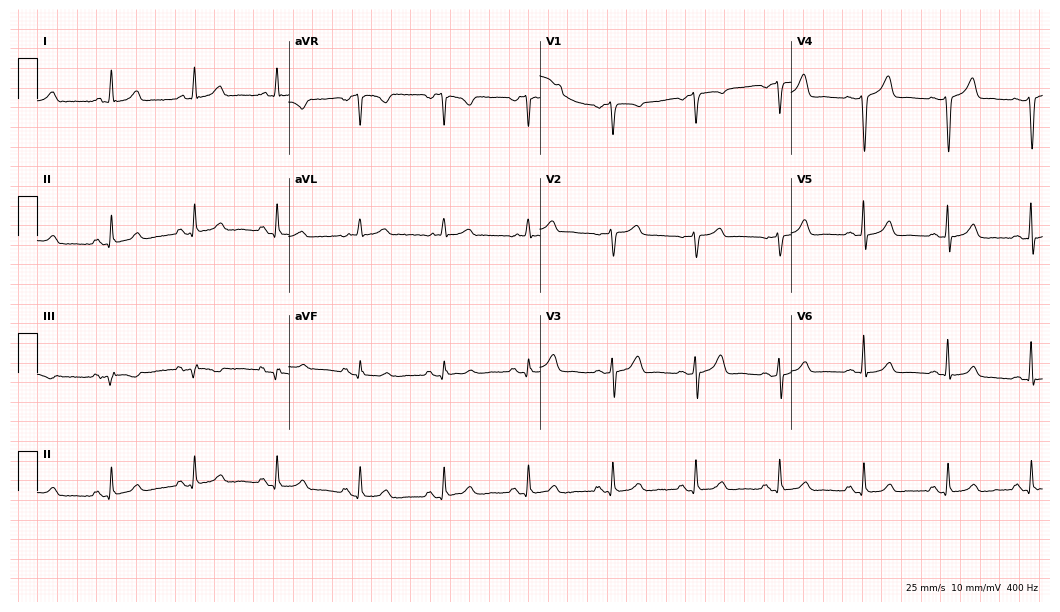
Resting 12-lead electrocardiogram. Patient: a 61-year-old male. Read as a normal ECG.